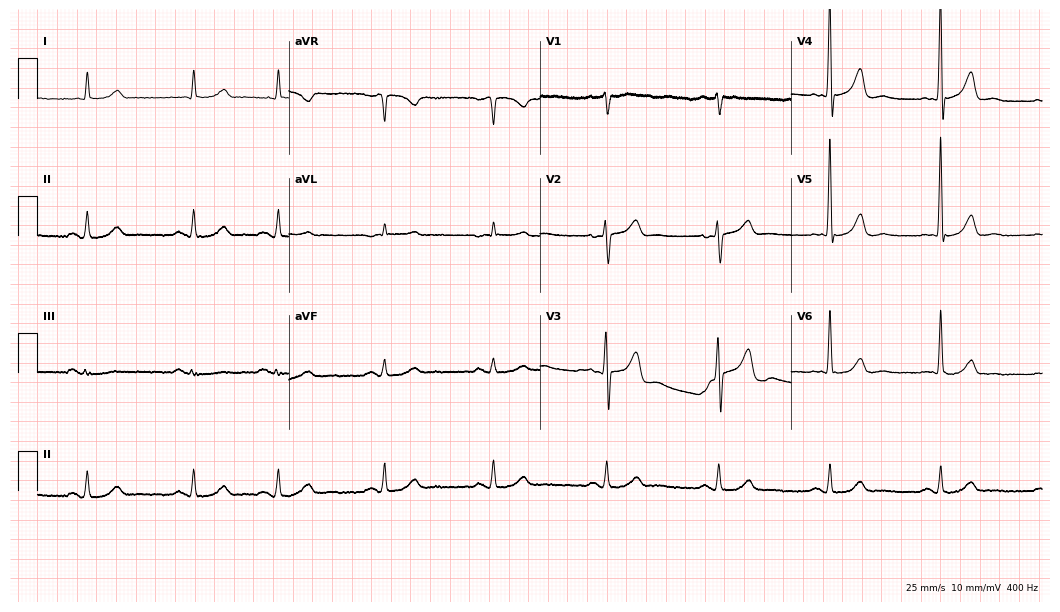
12-lead ECG from a male, 71 years old (10.2-second recording at 400 Hz). No first-degree AV block, right bundle branch block, left bundle branch block, sinus bradycardia, atrial fibrillation or sinus tachycardia recorded for this tracing.